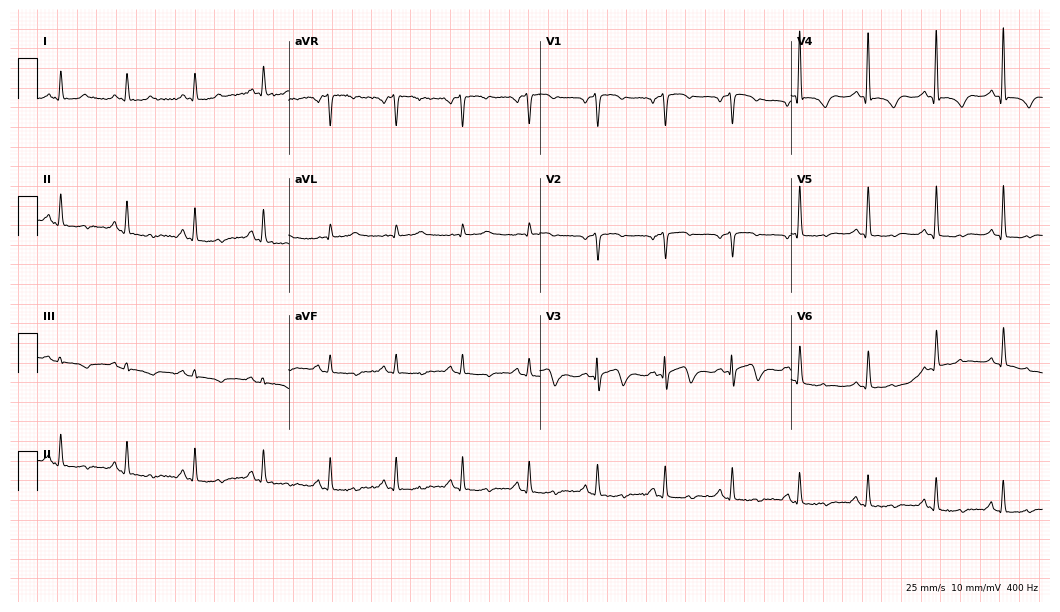
12-lead ECG from a female patient, 78 years old (10.2-second recording at 400 Hz). No first-degree AV block, right bundle branch block (RBBB), left bundle branch block (LBBB), sinus bradycardia, atrial fibrillation (AF) or sinus tachycardia recorded for this tracing. Only these six findings were labelled.